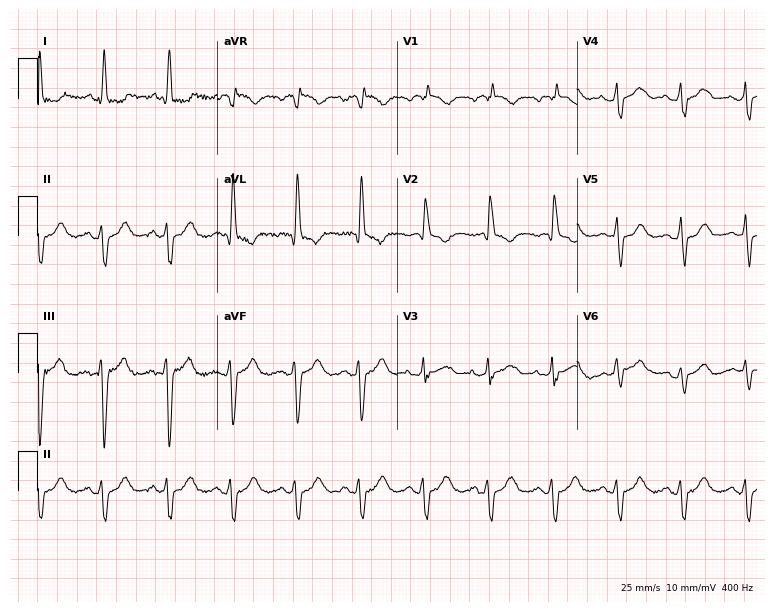
Electrocardiogram (7.3-second recording at 400 Hz), a woman, 77 years old. Of the six screened findings (first-degree AV block, right bundle branch block, left bundle branch block, sinus bradycardia, atrial fibrillation, sinus tachycardia), none is recorded. Other findings, if any, are not listed.